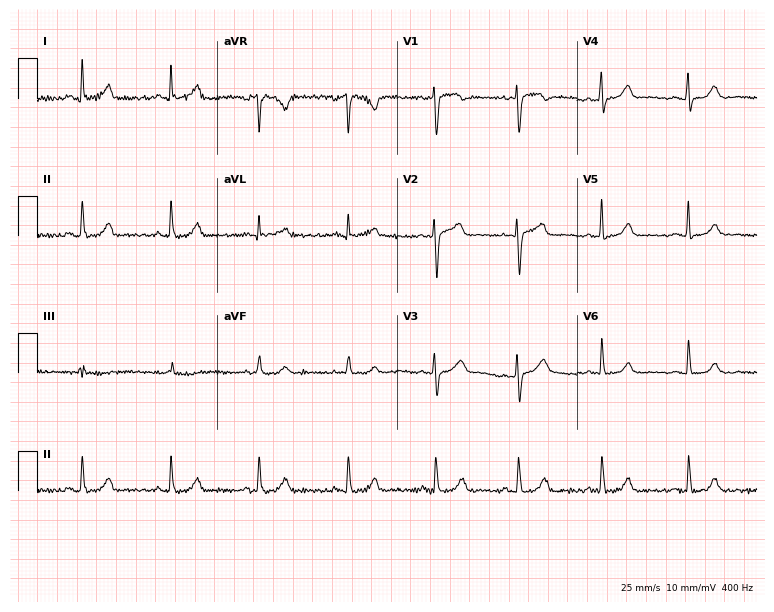
Electrocardiogram (7.3-second recording at 400 Hz), a 43-year-old female patient. Of the six screened findings (first-degree AV block, right bundle branch block (RBBB), left bundle branch block (LBBB), sinus bradycardia, atrial fibrillation (AF), sinus tachycardia), none is recorded. Findings outside these six are not listed.